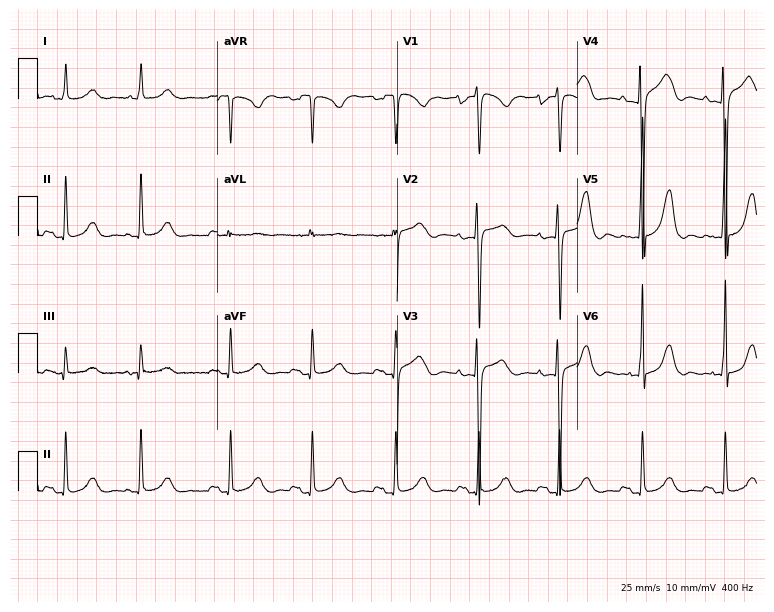
12-lead ECG from a woman, 71 years old (7.3-second recording at 400 Hz). No first-degree AV block, right bundle branch block (RBBB), left bundle branch block (LBBB), sinus bradycardia, atrial fibrillation (AF) or sinus tachycardia recorded for this tracing. Other findings, if any, are not listed.